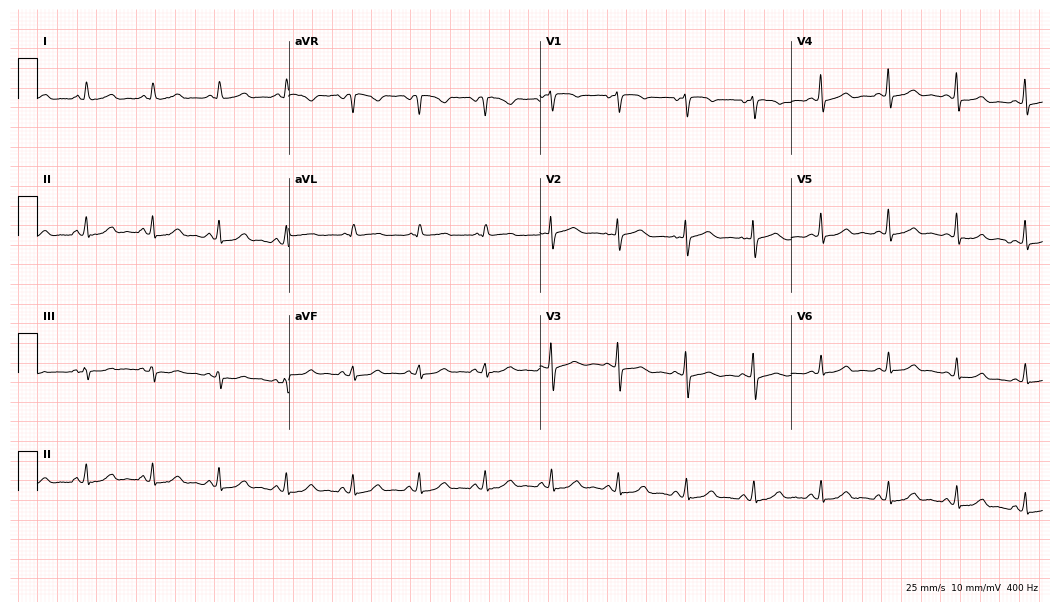
Standard 12-lead ECG recorded from a woman, 49 years old (10.2-second recording at 400 Hz). Read as a normal ECG.